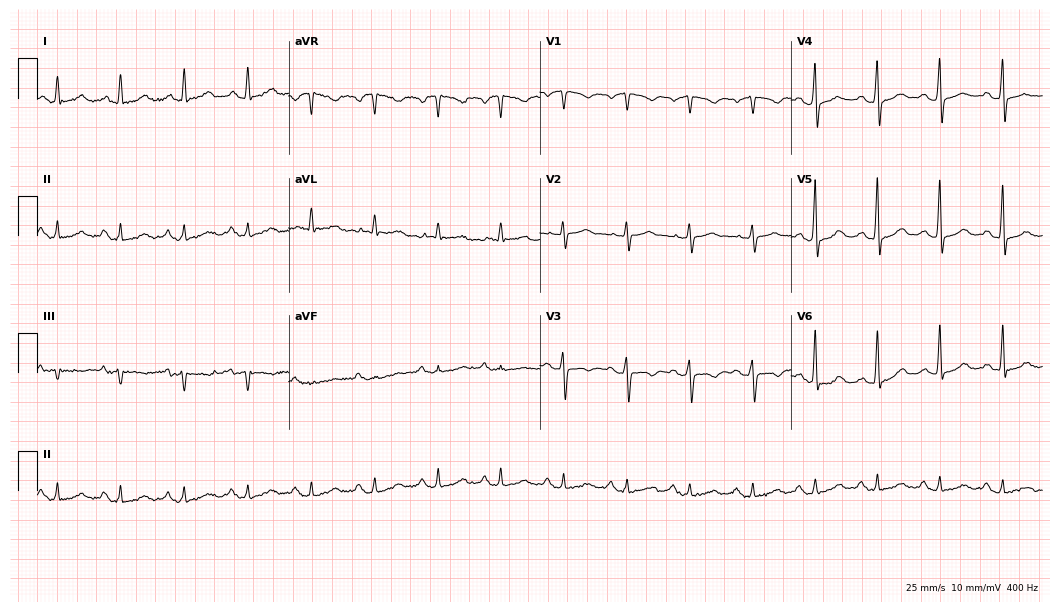
Electrocardiogram (10.2-second recording at 400 Hz), a male, 60 years old. Overall reading on record: normal ECG.